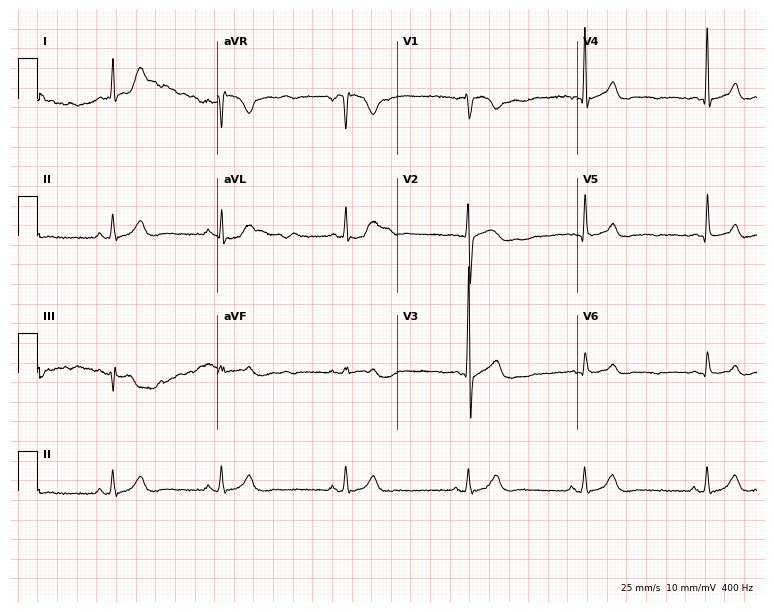
12-lead ECG (7.3-second recording at 400 Hz) from a male patient, 36 years old. Findings include sinus bradycardia (a sinus rate of 50 beats per minute or less).